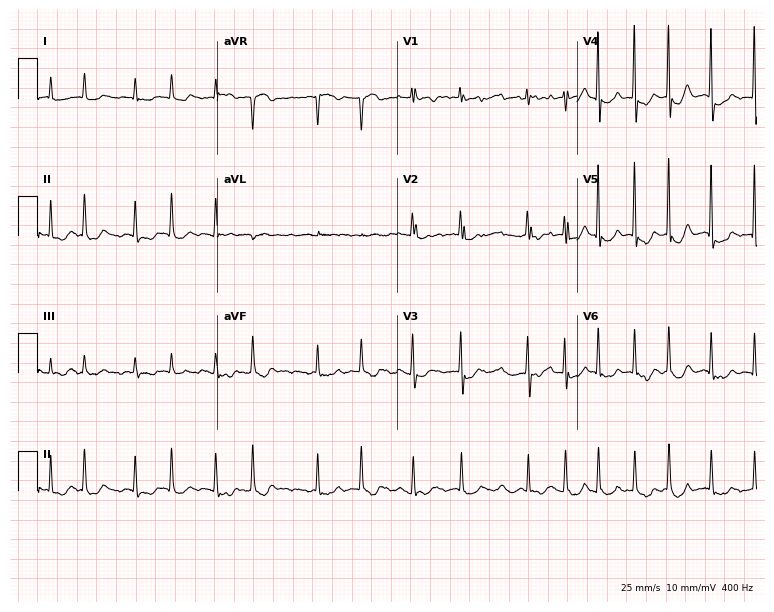
12-lead ECG from a 53-year-old female patient (7.3-second recording at 400 Hz). Shows atrial fibrillation.